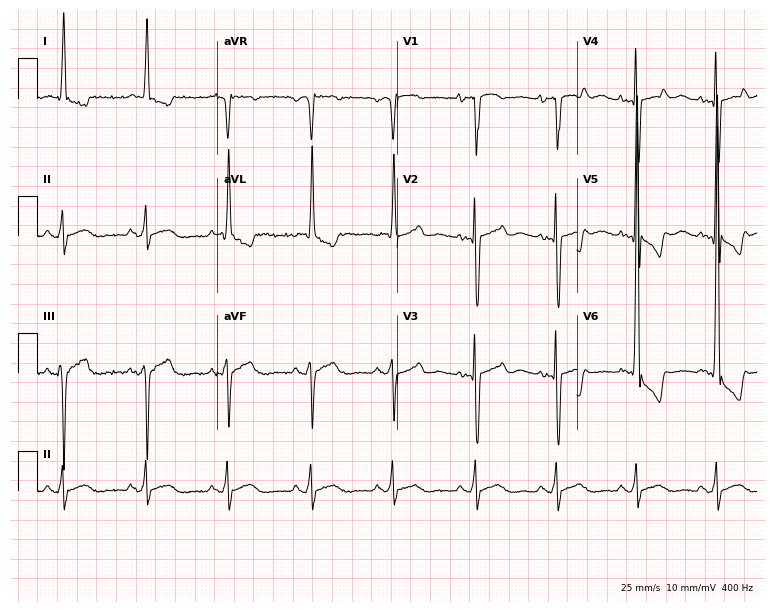
Resting 12-lead electrocardiogram (7.3-second recording at 400 Hz). Patient: a female, 84 years old. None of these six findings is recorded: first-degree AV block, right bundle branch block (RBBB), left bundle branch block (LBBB), sinus bradycardia, atrial fibrillation (AF), sinus tachycardia.